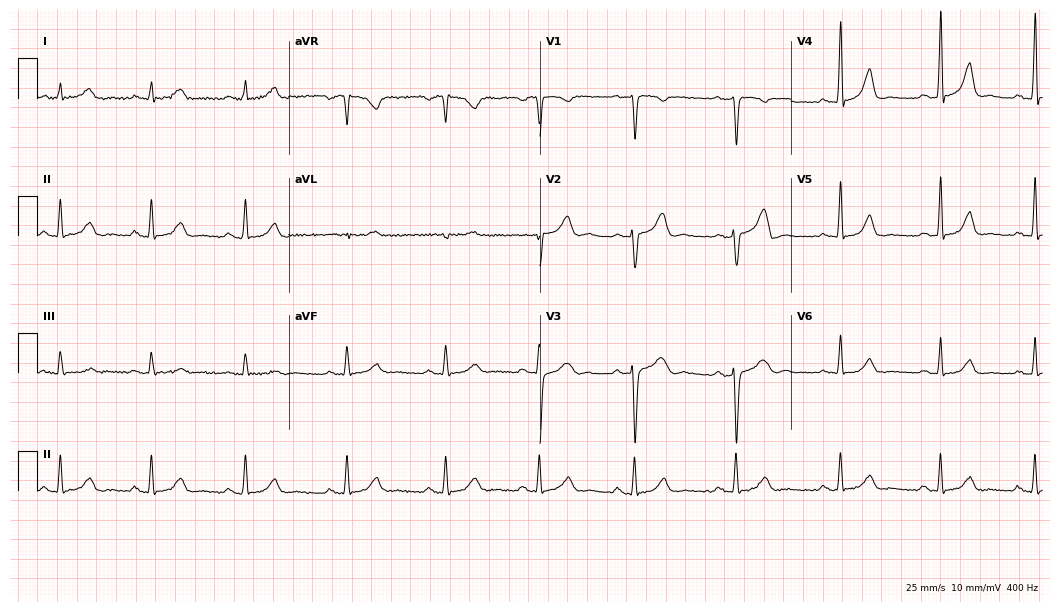
12-lead ECG from a male patient, 48 years old (10.2-second recording at 400 Hz). Recorded interpretation: within normal limits.